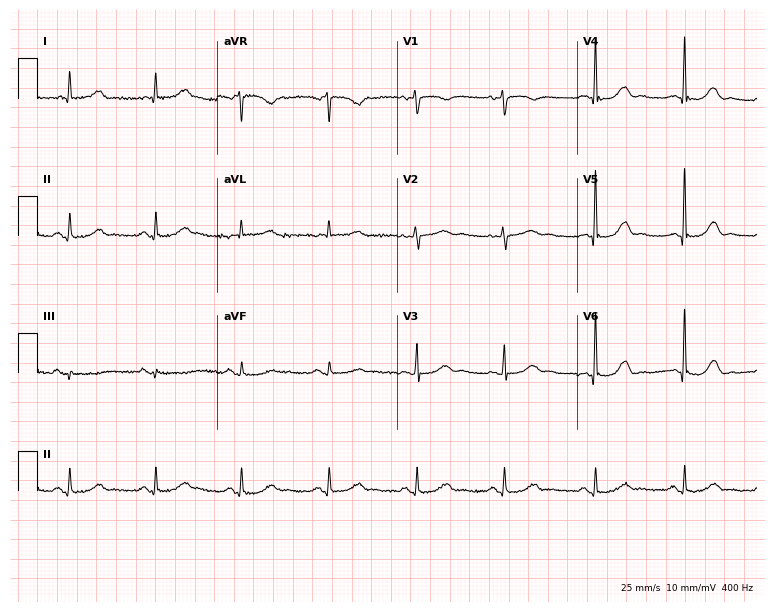
Standard 12-lead ECG recorded from a female patient, 83 years old. Read as a normal ECG.